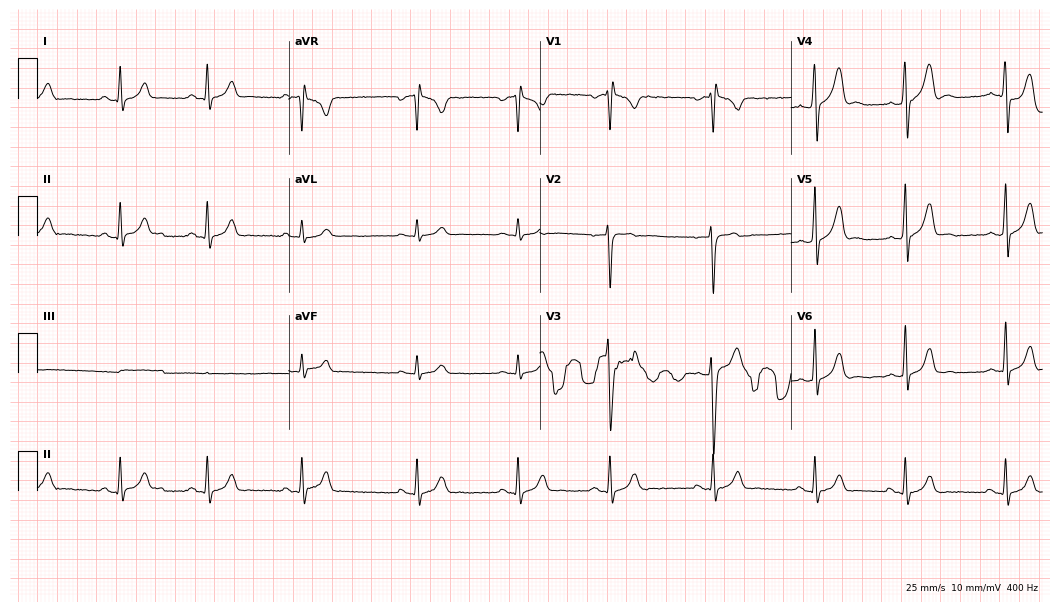
12-lead ECG from a male patient, 18 years old (10.2-second recording at 400 Hz). No first-degree AV block, right bundle branch block (RBBB), left bundle branch block (LBBB), sinus bradycardia, atrial fibrillation (AF) or sinus tachycardia recorded for this tracing. Findings outside these six are not listed.